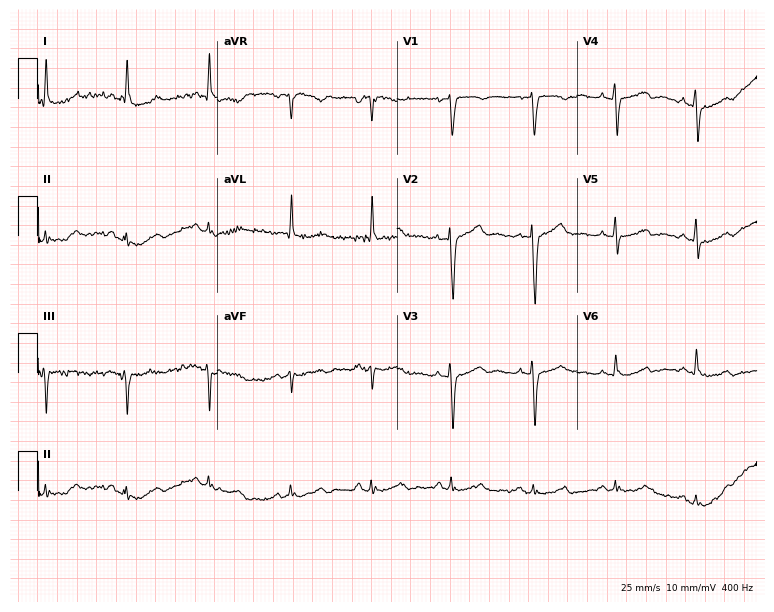
Standard 12-lead ECG recorded from a woman, 51 years old (7.3-second recording at 400 Hz). Read as a normal ECG.